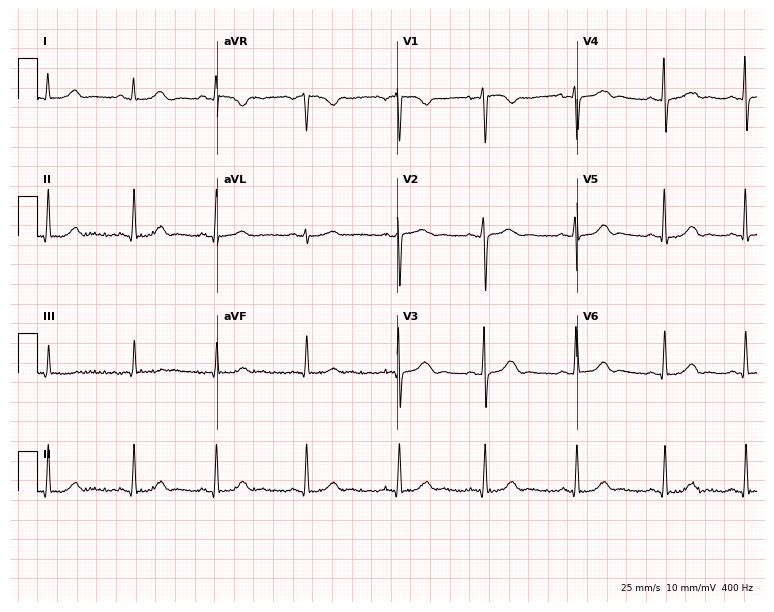
12-lead ECG from a 32-year-old female. Recorded interpretation: within normal limits.